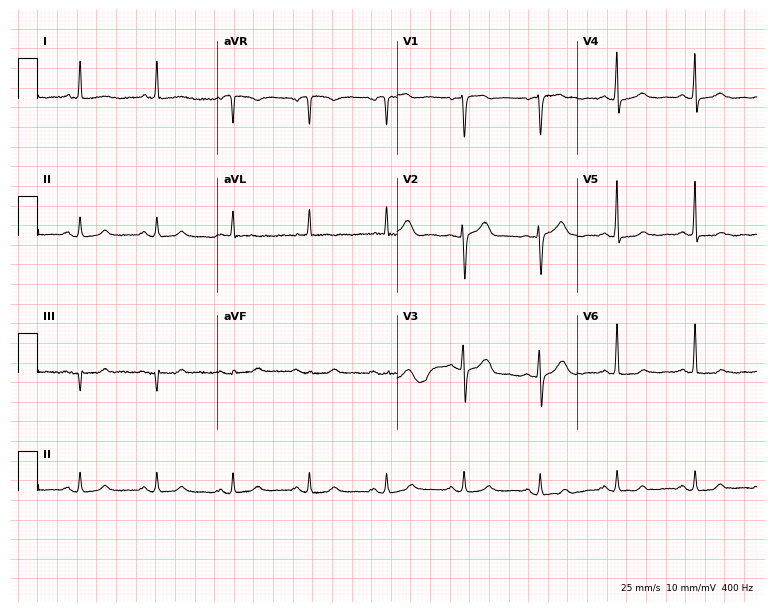
12-lead ECG (7.3-second recording at 400 Hz) from a woman, 60 years old. Labelled as a normal ECG.